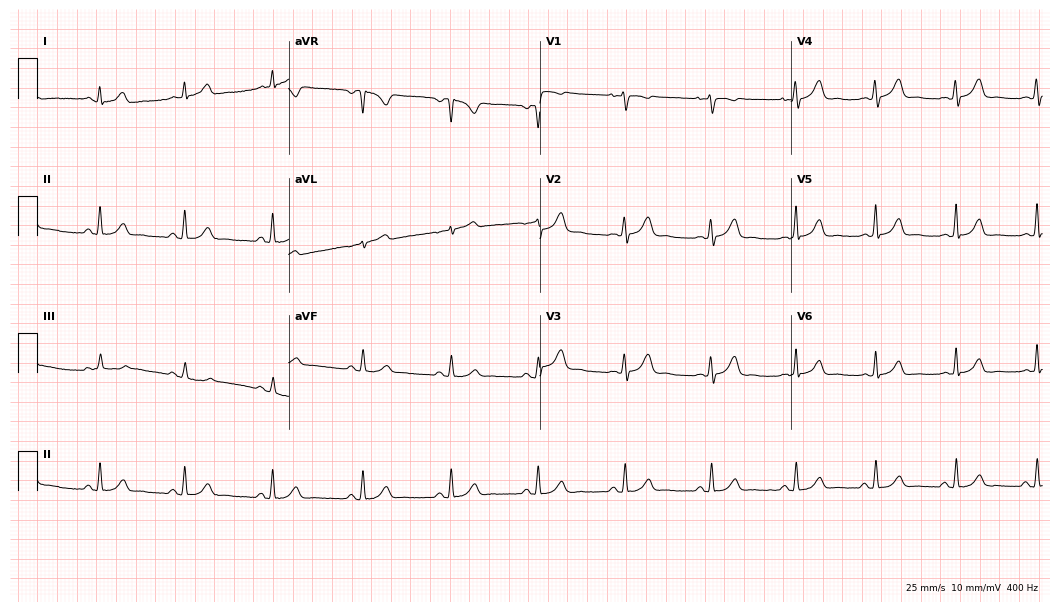
12-lead ECG from a 34-year-old female patient. Labelled as a normal ECG.